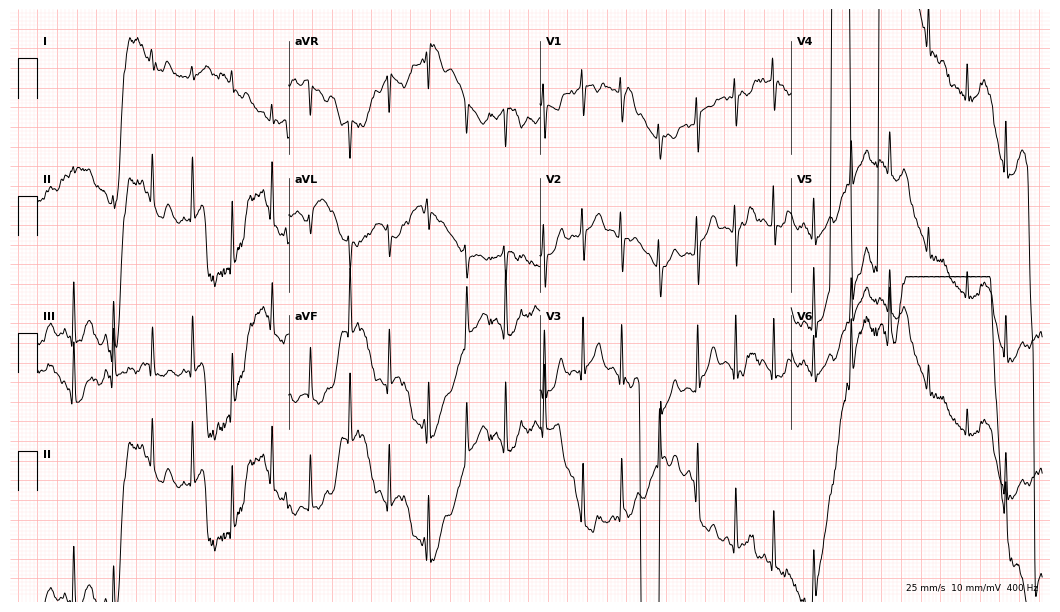
Standard 12-lead ECG recorded from a 41-year-old female patient (10.2-second recording at 400 Hz). None of these six findings is recorded: first-degree AV block, right bundle branch block (RBBB), left bundle branch block (LBBB), sinus bradycardia, atrial fibrillation (AF), sinus tachycardia.